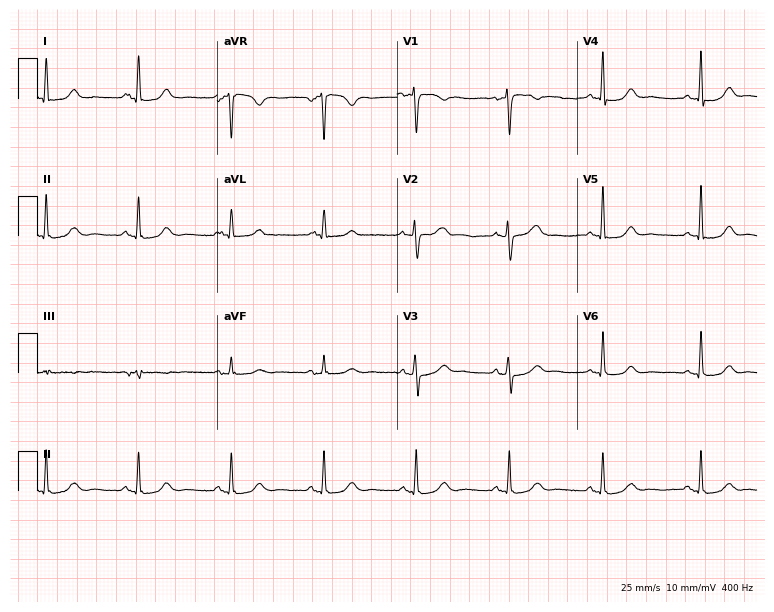
ECG (7.3-second recording at 400 Hz) — a 60-year-old female. Labelled as a normal ECG.